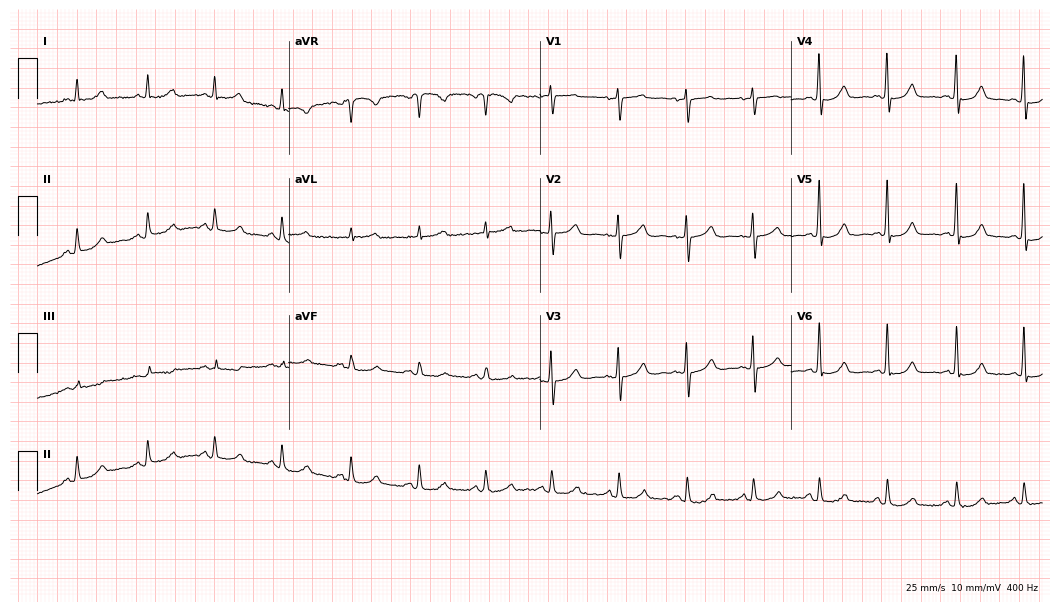
Resting 12-lead electrocardiogram. Patient: a 61-year-old female. Read as a normal ECG.